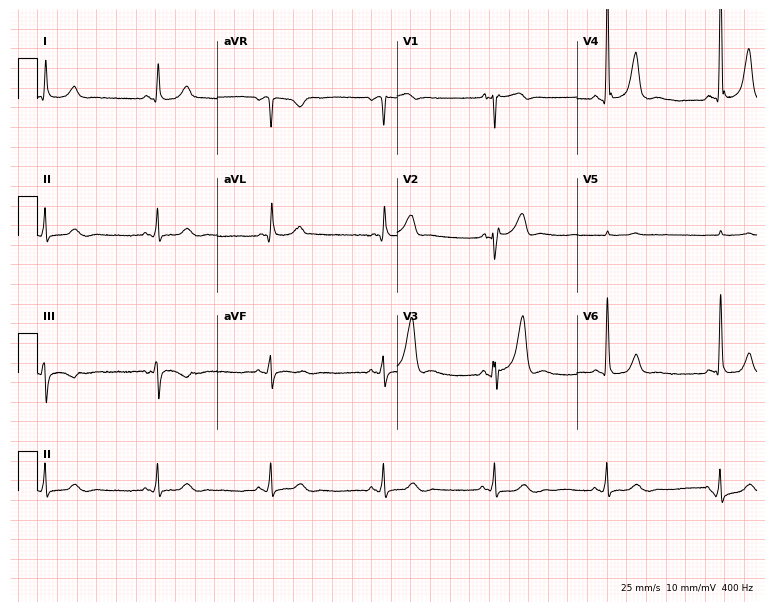
Electrocardiogram, a male, 66 years old. Overall reading on record: normal ECG.